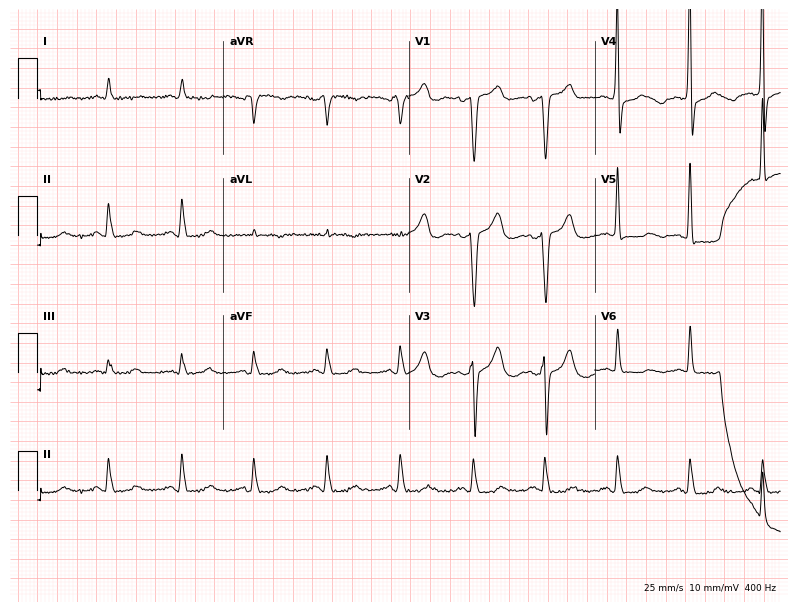
12-lead ECG from a woman, 70 years old. No first-degree AV block, right bundle branch block (RBBB), left bundle branch block (LBBB), sinus bradycardia, atrial fibrillation (AF) or sinus tachycardia recorded for this tracing.